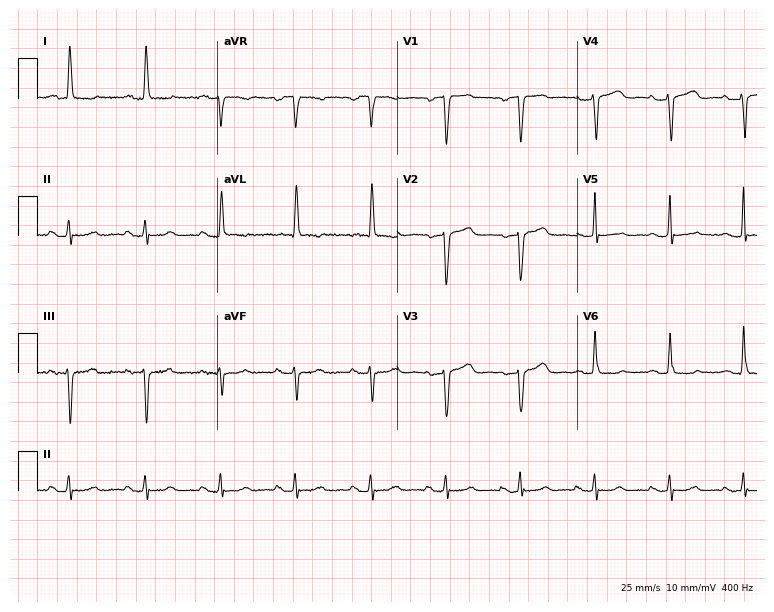
Electrocardiogram, a 75-year-old female patient. Of the six screened findings (first-degree AV block, right bundle branch block (RBBB), left bundle branch block (LBBB), sinus bradycardia, atrial fibrillation (AF), sinus tachycardia), none is recorded.